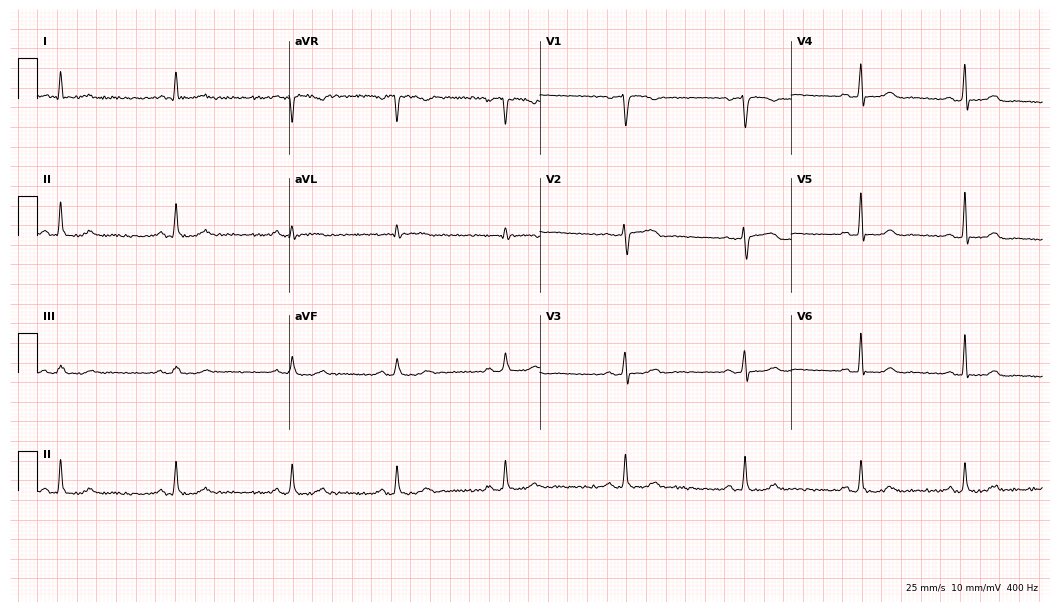
Electrocardiogram (10.2-second recording at 400 Hz), a female, 48 years old. Of the six screened findings (first-degree AV block, right bundle branch block, left bundle branch block, sinus bradycardia, atrial fibrillation, sinus tachycardia), none is recorded. Only these six findings were labelled.